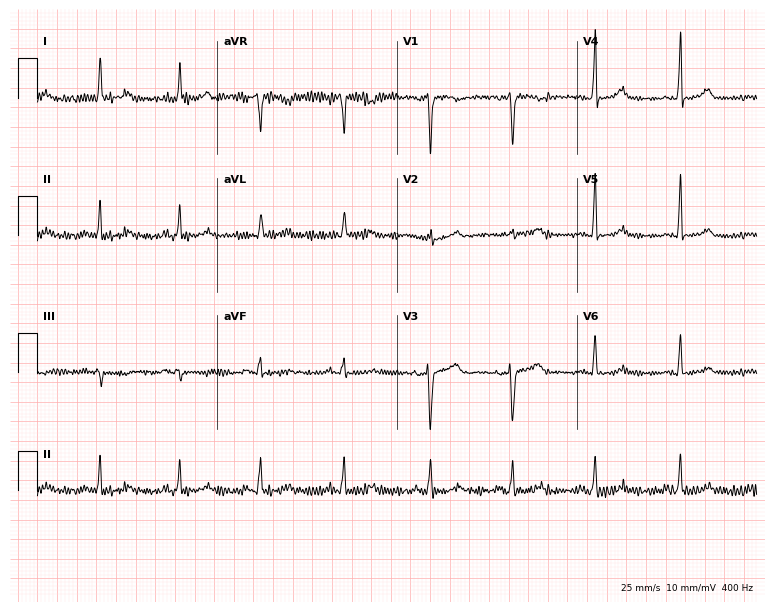
Standard 12-lead ECG recorded from a woman, 62 years old. Read as a normal ECG.